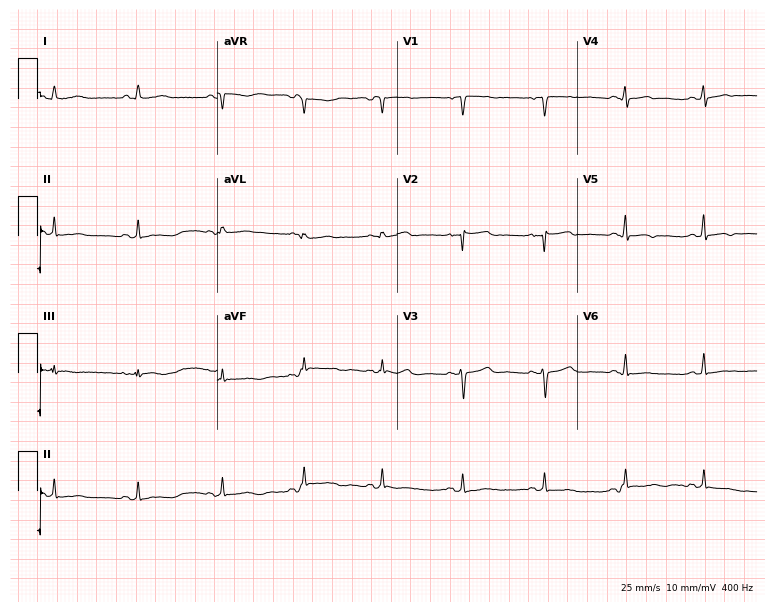
ECG — a female patient, 42 years old. Screened for six findings — first-degree AV block, right bundle branch block, left bundle branch block, sinus bradycardia, atrial fibrillation, sinus tachycardia — none is recorded. Only these six findings were labelled.